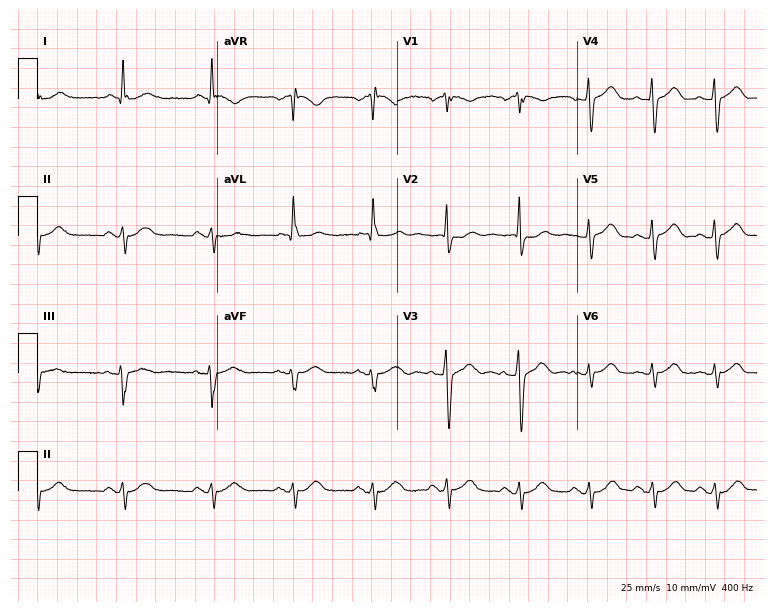
12-lead ECG from a 59-year-old male. Screened for six findings — first-degree AV block, right bundle branch block, left bundle branch block, sinus bradycardia, atrial fibrillation, sinus tachycardia — none is recorded. Other findings, if any, are not listed.